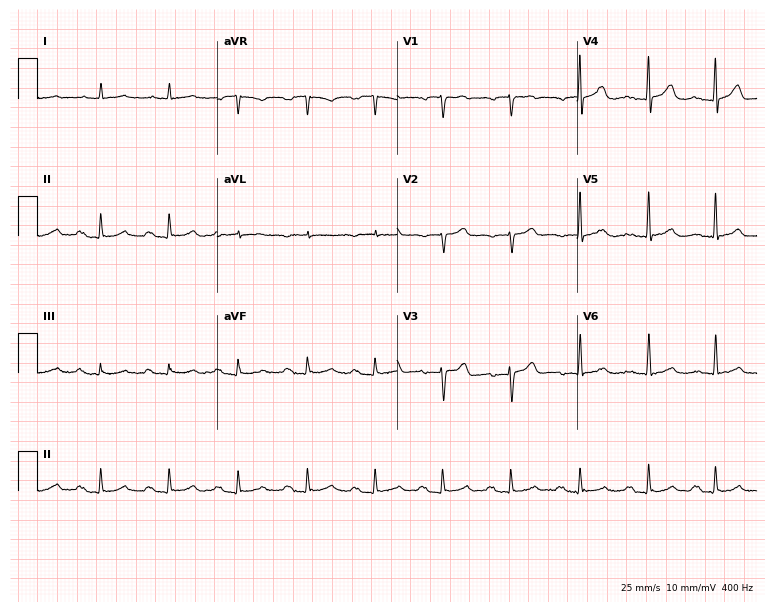
ECG — a man, 80 years old. Findings include first-degree AV block.